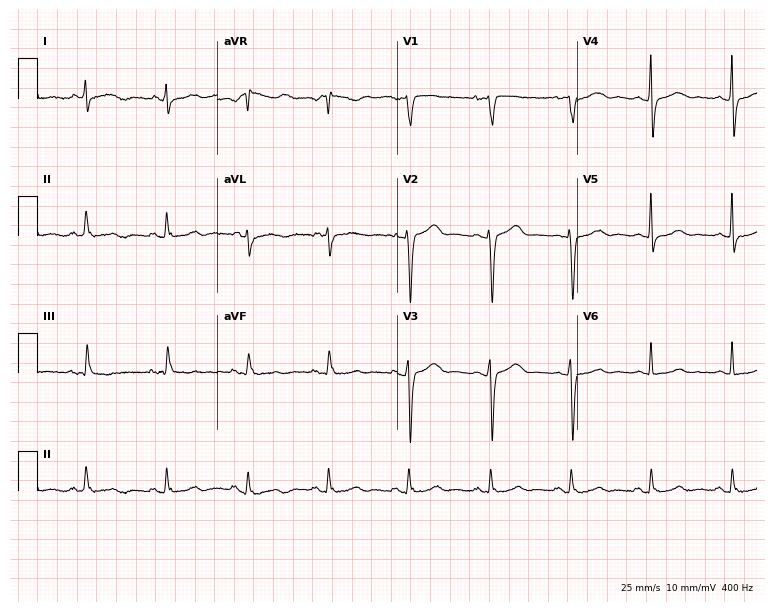
ECG — a 45-year-old female. Labelled as a normal ECG.